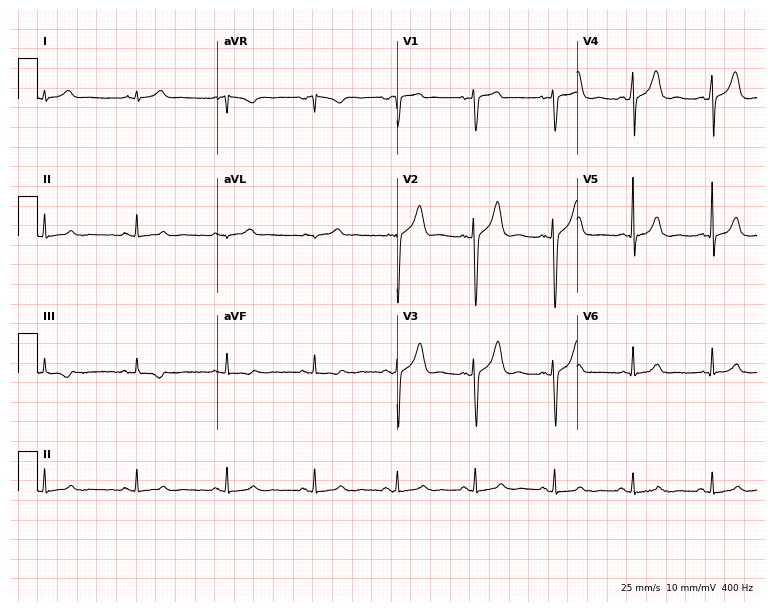
12-lead ECG from a 48-year-old male patient (7.3-second recording at 400 Hz). No first-degree AV block, right bundle branch block, left bundle branch block, sinus bradycardia, atrial fibrillation or sinus tachycardia recorded for this tracing. Other findings, if any, are not listed.